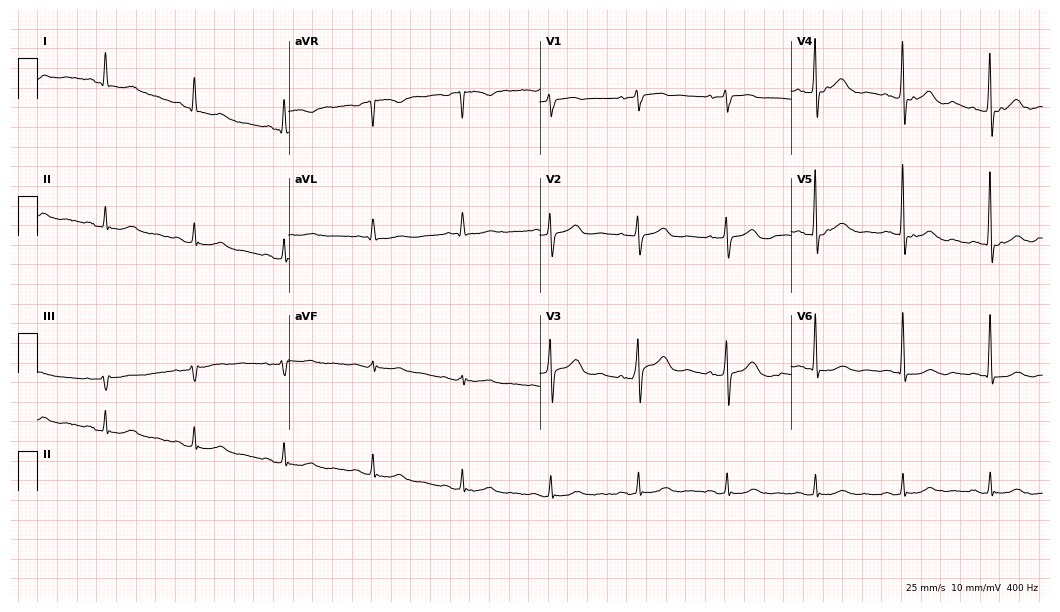
Resting 12-lead electrocardiogram (10.2-second recording at 400 Hz). Patient: a female, 83 years old. Read as a normal ECG.